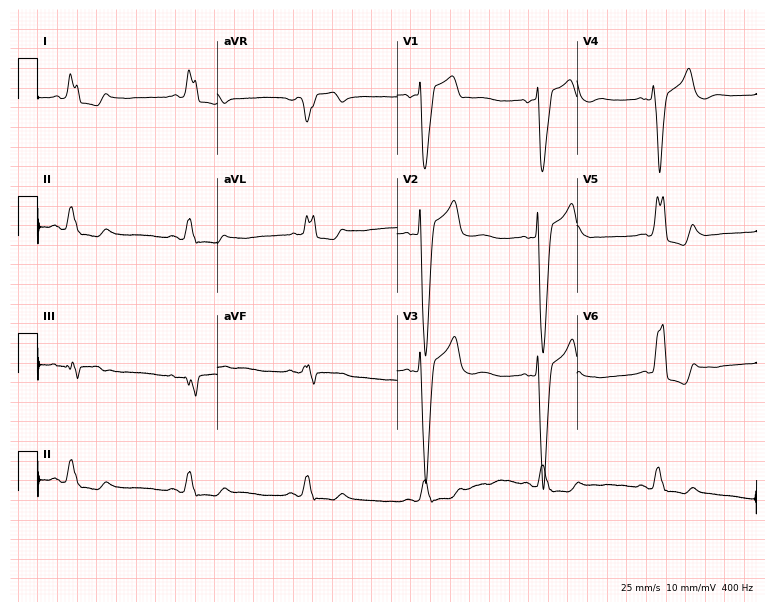
12-lead ECG from an 83-year-old female patient. Shows left bundle branch block (LBBB).